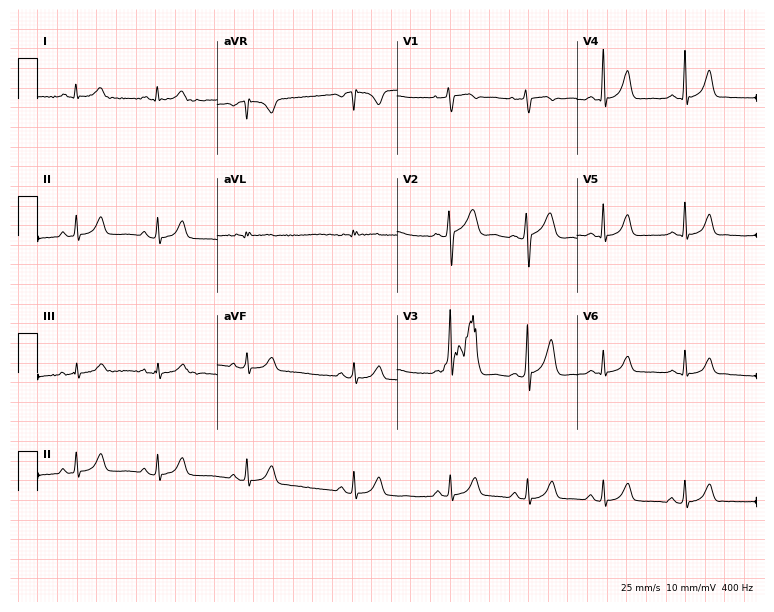
12-lead ECG from a 30-year-old woman (7.3-second recording at 400 Hz). No first-degree AV block, right bundle branch block, left bundle branch block, sinus bradycardia, atrial fibrillation or sinus tachycardia recorded for this tracing. Findings outside these six are not listed.